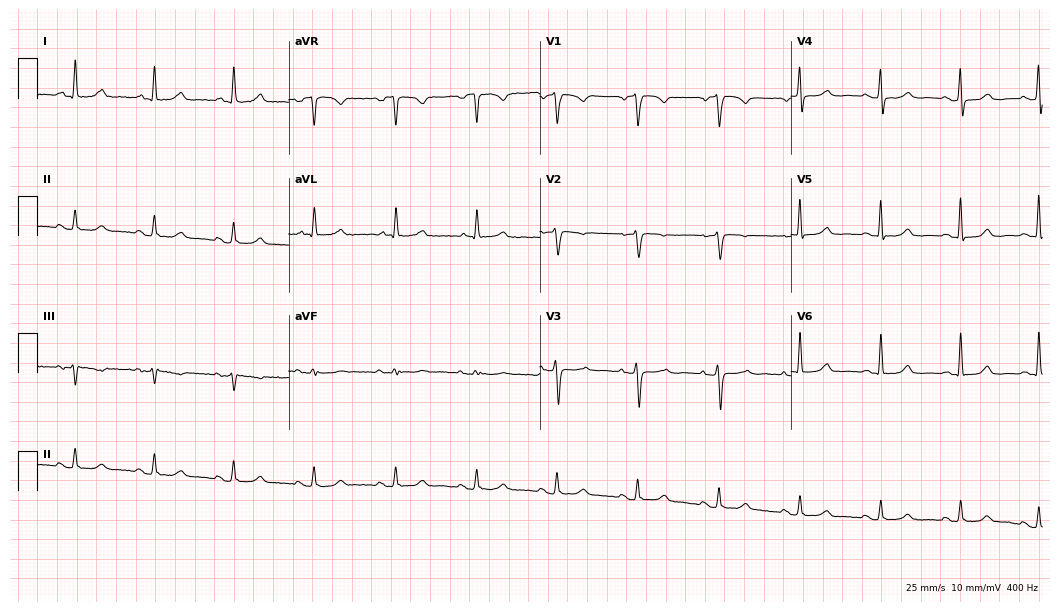
Standard 12-lead ECG recorded from a 77-year-old female (10.2-second recording at 400 Hz). Read as a normal ECG.